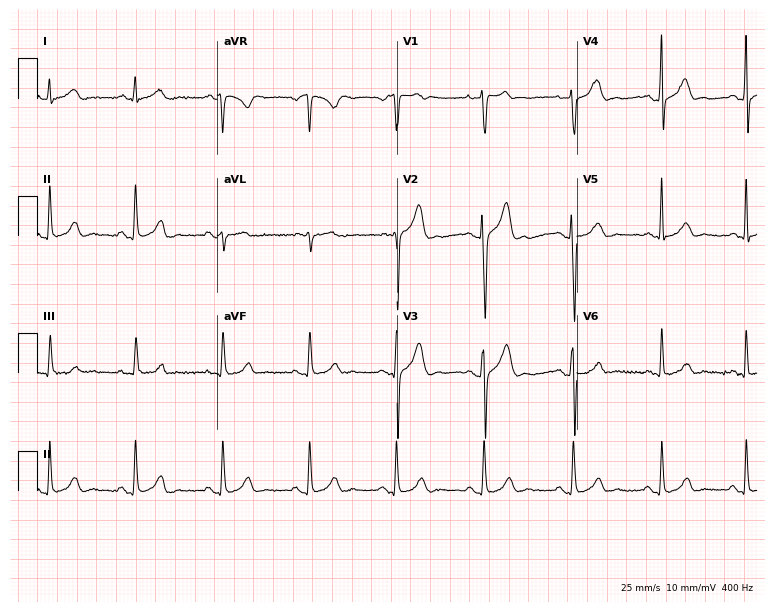
12-lead ECG from a male patient, 29 years old. Recorded interpretation: within normal limits.